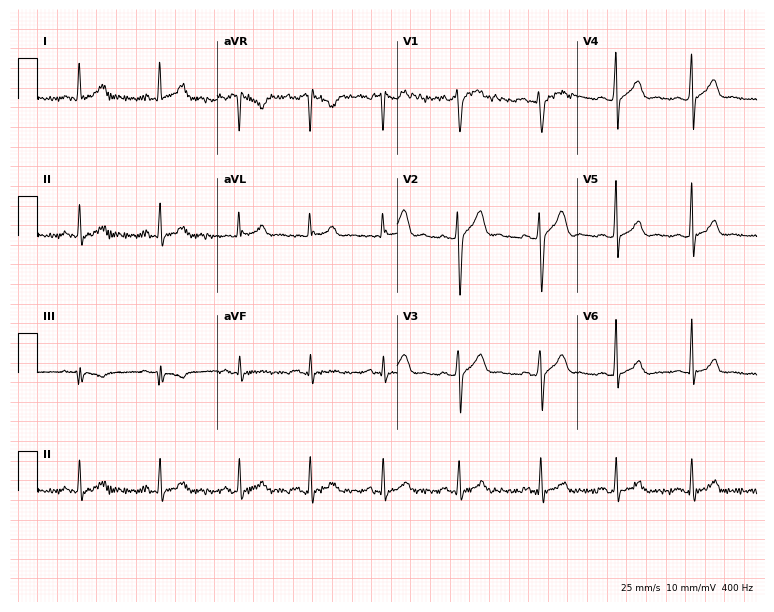
ECG — a 23-year-old man. Labelled as a normal ECG.